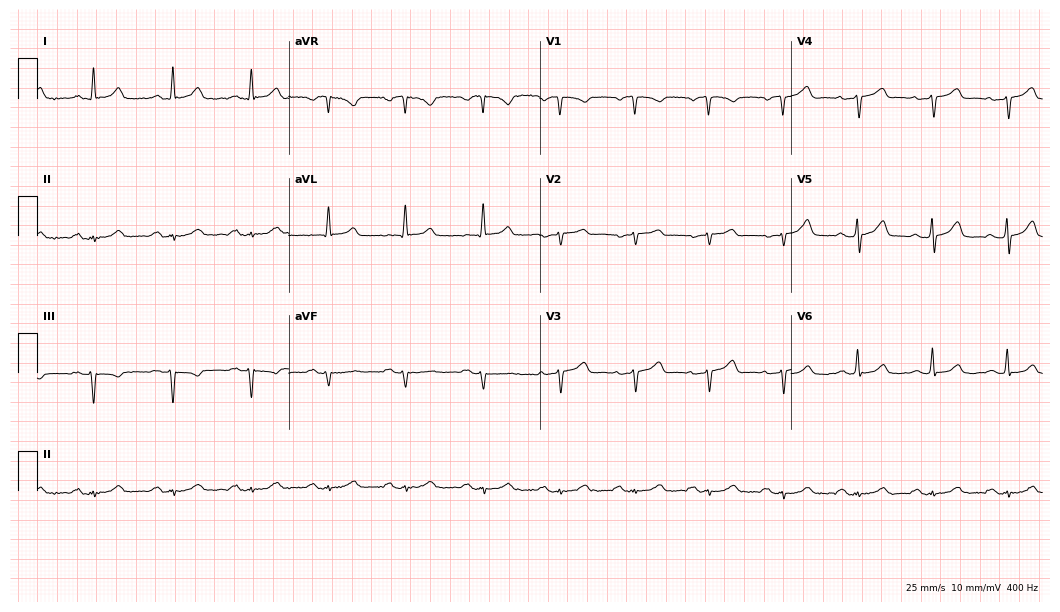
Resting 12-lead electrocardiogram. Patient: a male, 54 years old. None of these six findings is recorded: first-degree AV block, right bundle branch block, left bundle branch block, sinus bradycardia, atrial fibrillation, sinus tachycardia. Findings outside these six are not listed.